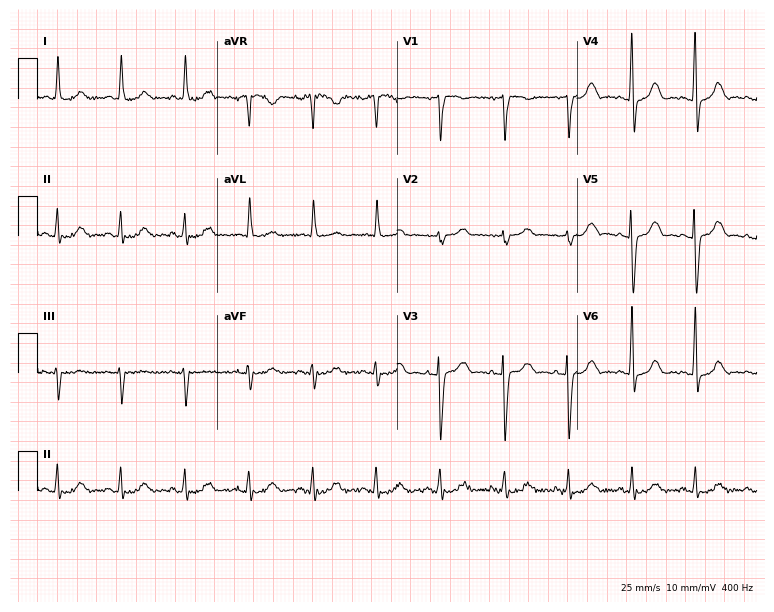
12-lead ECG (7.3-second recording at 400 Hz) from a 66-year-old female patient. Labelled as a normal ECG.